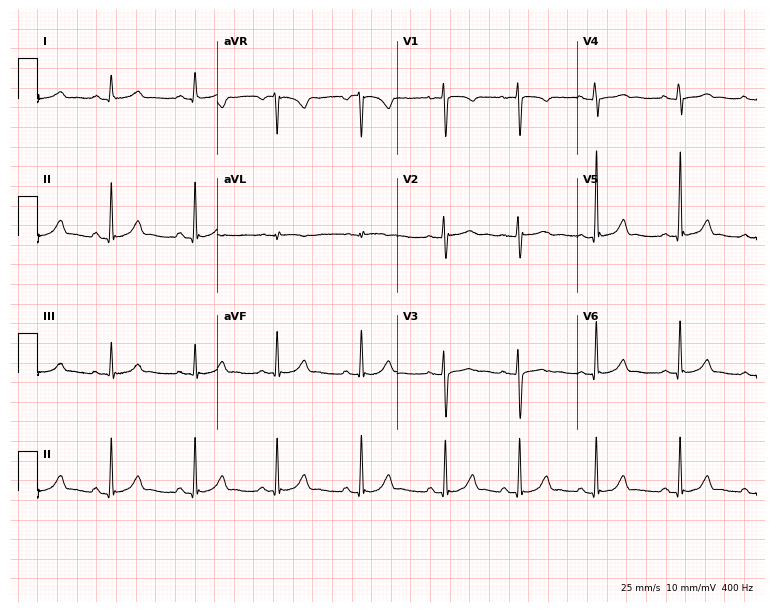
12-lead ECG (7.3-second recording at 400 Hz) from a female patient, 18 years old. Labelled as a normal ECG.